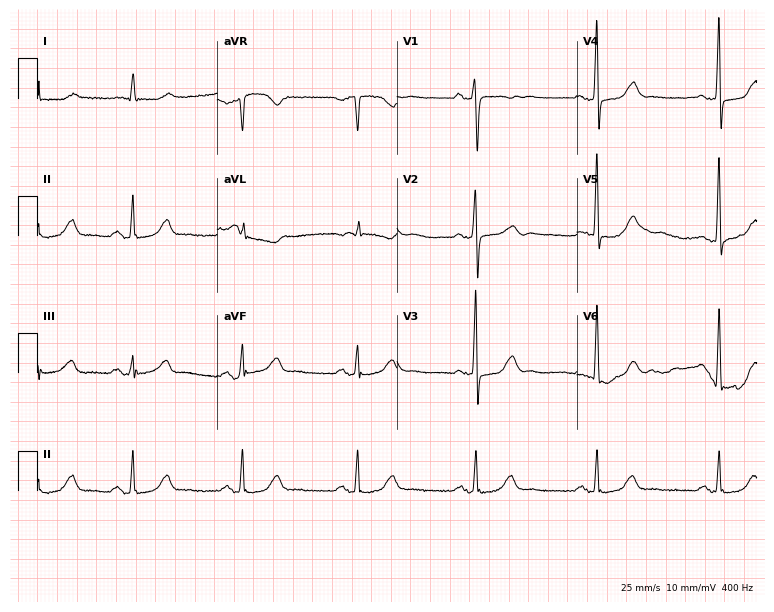
Electrocardiogram, a 49-year-old woman. Of the six screened findings (first-degree AV block, right bundle branch block (RBBB), left bundle branch block (LBBB), sinus bradycardia, atrial fibrillation (AF), sinus tachycardia), none is recorded. Only these six findings were labelled.